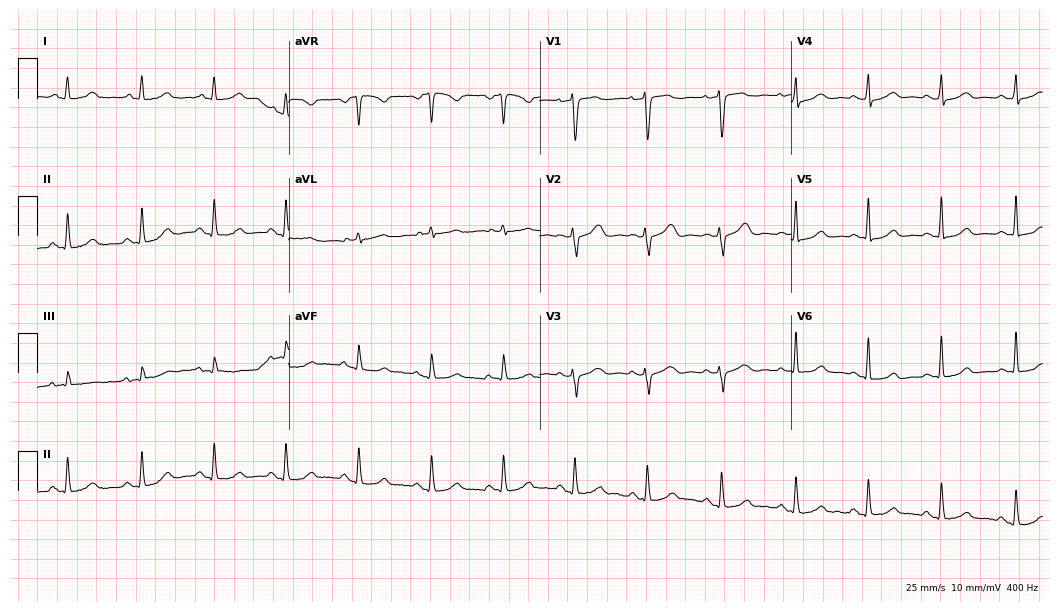
Resting 12-lead electrocardiogram. Patient: a 48-year-old woman. None of these six findings is recorded: first-degree AV block, right bundle branch block, left bundle branch block, sinus bradycardia, atrial fibrillation, sinus tachycardia. Only these six findings were labelled.